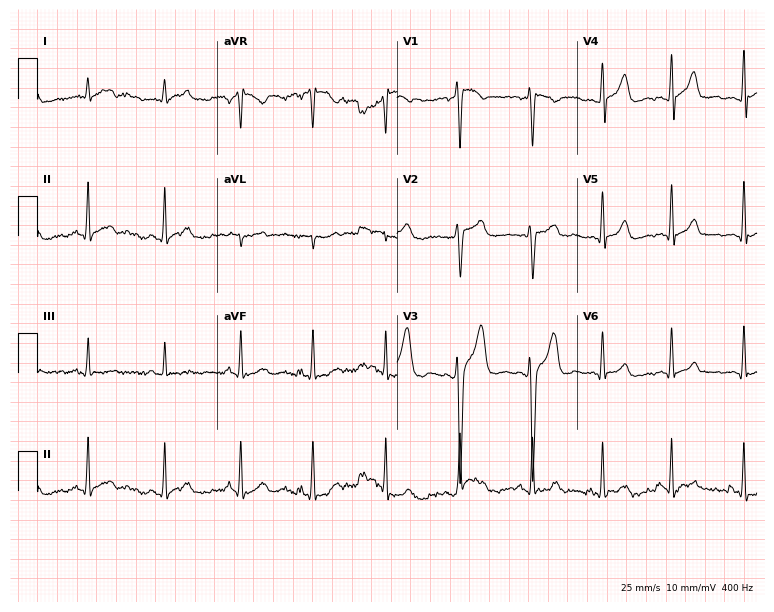
Resting 12-lead electrocardiogram (7.3-second recording at 400 Hz). Patient: a male, 40 years old. Read as a normal ECG.